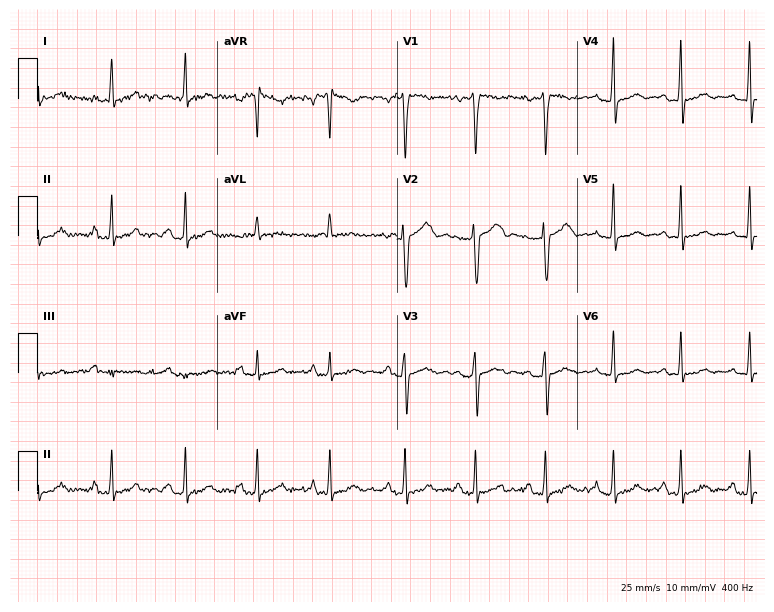
Electrocardiogram, a woman, 37 years old. Of the six screened findings (first-degree AV block, right bundle branch block, left bundle branch block, sinus bradycardia, atrial fibrillation, sinus tachycardia), none is recorded. Only these six findings were labelled.